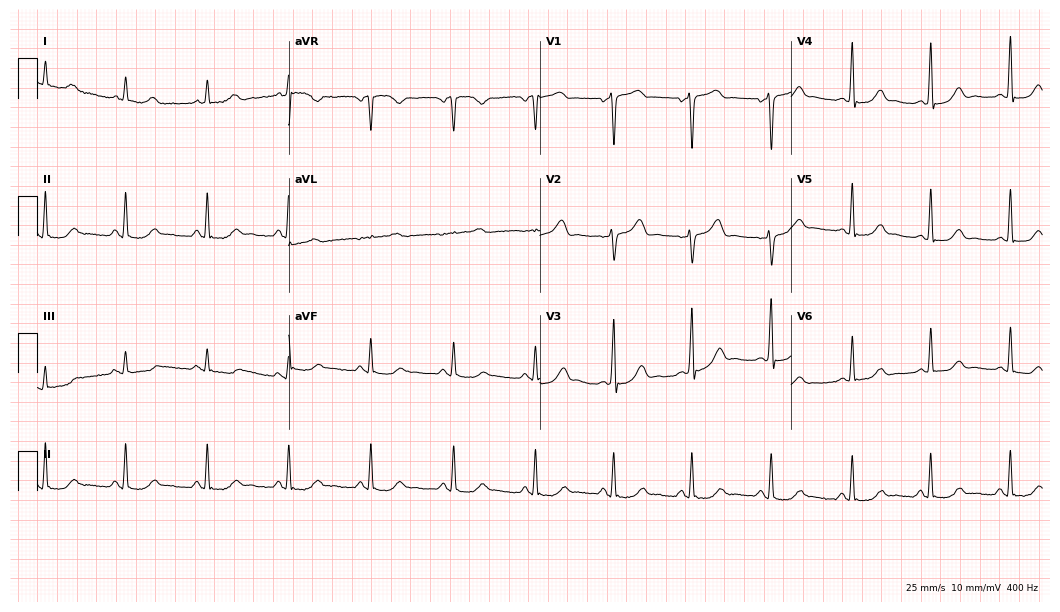
Resting 12-lead electrocardiogram. Patient: a 43-year-old woman. Read as a normal ECG.